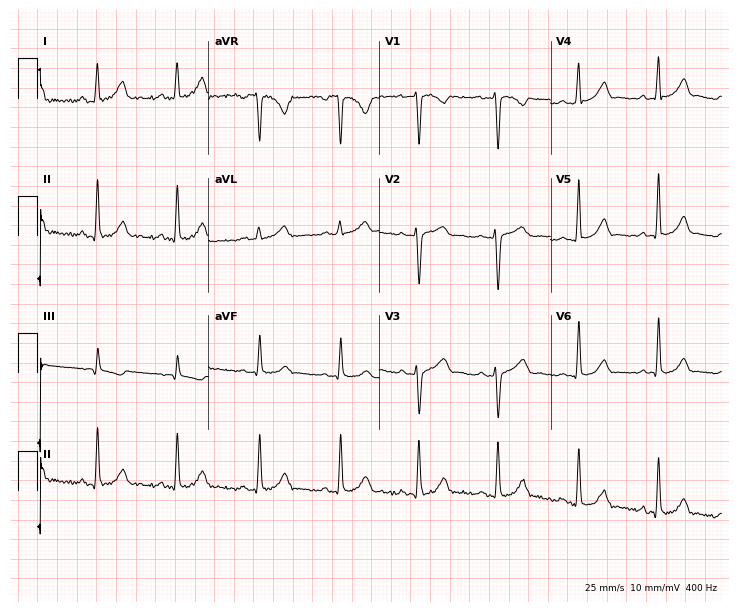
12-lead ECG from a 31-year-old female. Screened for six findings — first-degree AV block, right bundle branch block, left bundle branch block, sinus bradycardia, atrial fibrillation, sinus tachycardia — none is recorded.